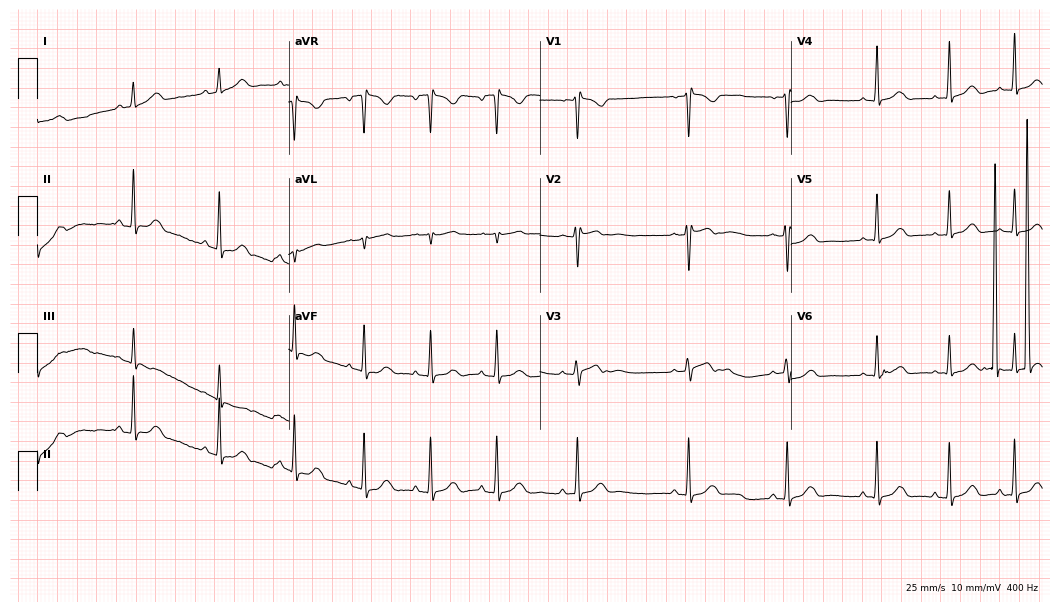
Standard 12-lead ECG recorded from a woman, 22 years old (10.2-second recording at 400 Hz). None of these six findings is recorded: first-degree AV block, right bundle branch block, left bundle branch block, sinus bradycardia, atrial fibrillation, sinus tachycardia. Findings outside these six are not listed.